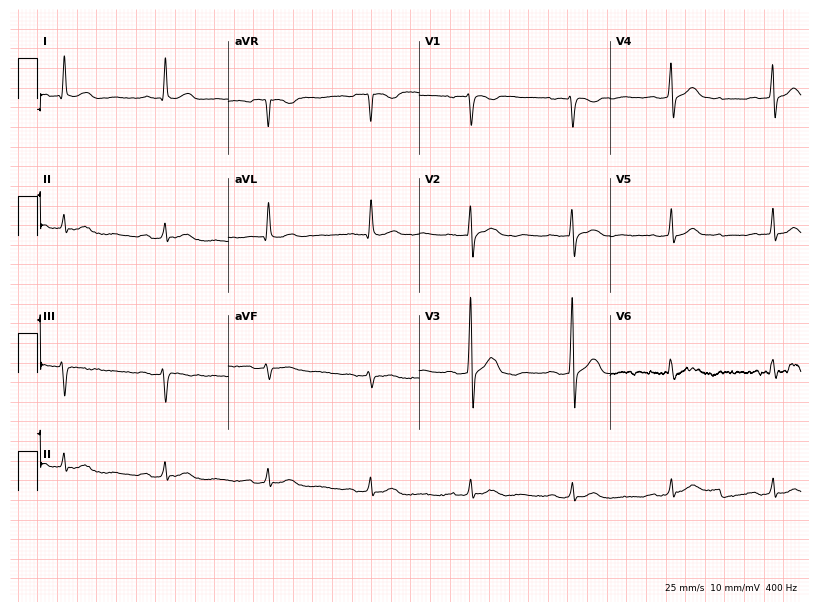
ECG (7.8-second recording at 400 Hz) — a female, 72 years old. Screened for six findings — first-degree AV block, right bundle branch block, left bundle branch block, sinus bradycardia, atrial fibrillation, sinus tachycardia — none is recorded.